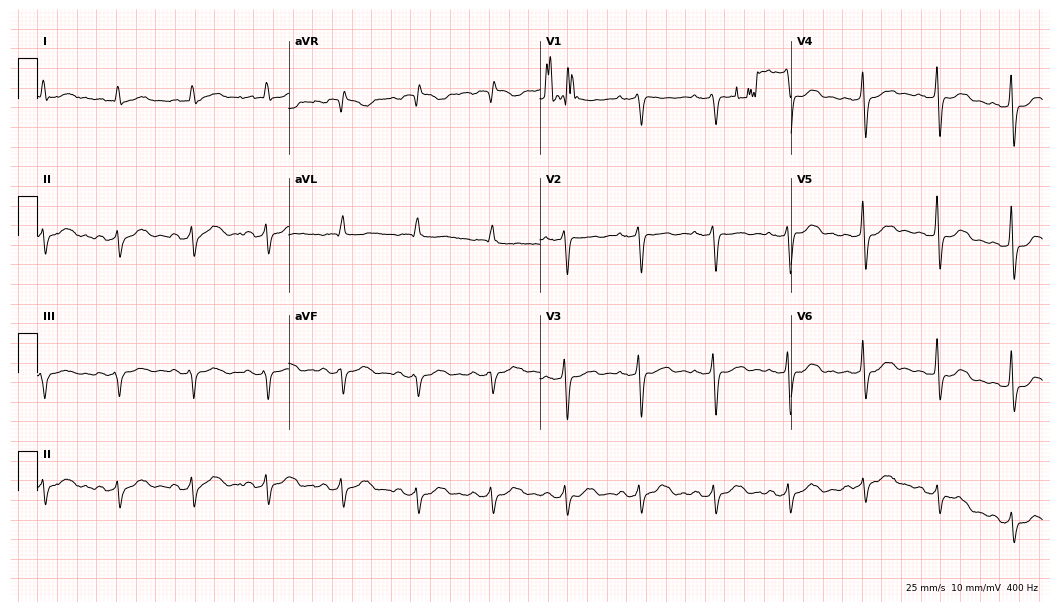
Electrocardiogram, a 69-year-old female patient. Of the six screened findings (first-degree AV block, right bundle branch block (RBBB), left bundle branch block (LBBB), sinus bradycardia, atrial fibrillation (AF), sinus tachycardia), none is recorded. Findings outside these six are not listed.